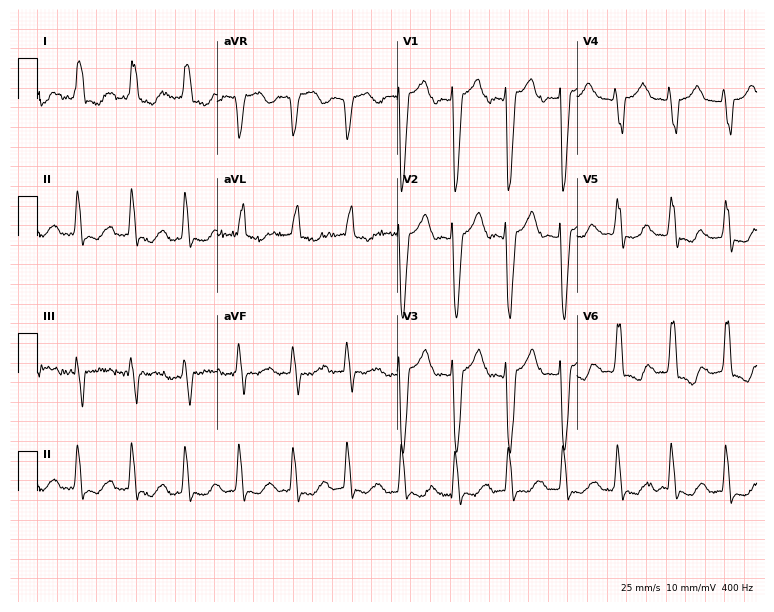
12-lead ECG from an 84-year-old woman. Findings include left bundle branch block, sinus tachycardia (a sinus rate of 100 beats per minute or more).